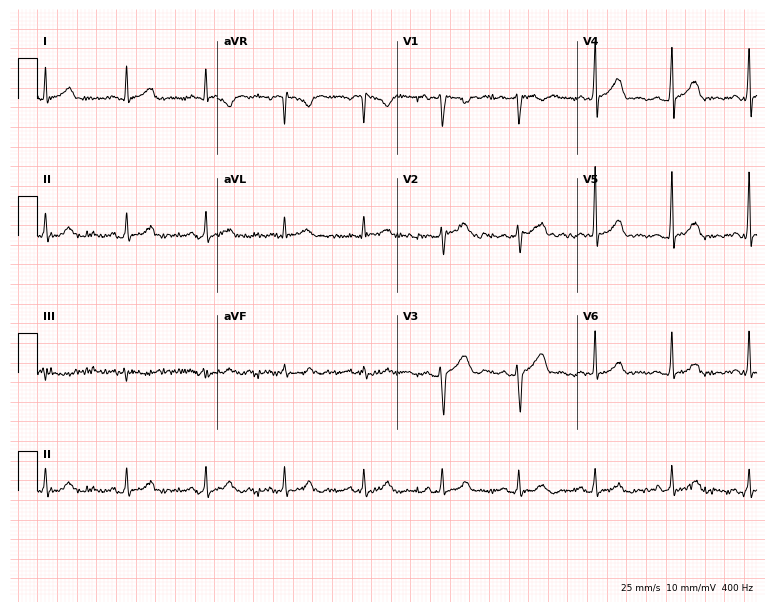
Electrocardiogram (7.3-second recording at 400 Hz), a female patient, 29 years old. Overall reading on record: normal ECG.